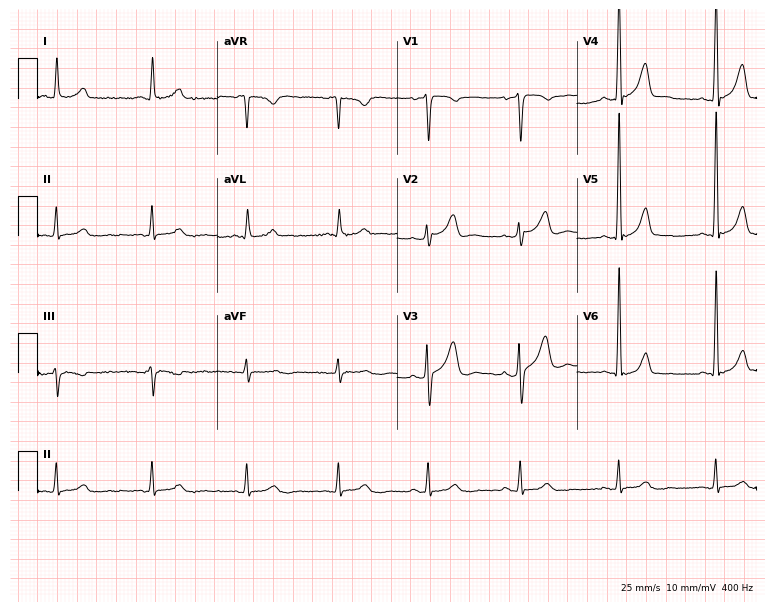
Resting 12-lead electrocardiogram. Patient: a man, 45 years old. None of these six findings is recorded: first-degree AV block, right bundle branch block, left bundle branch block, sinus bradycardia, atrial fibrillation, sinus tachycardia.